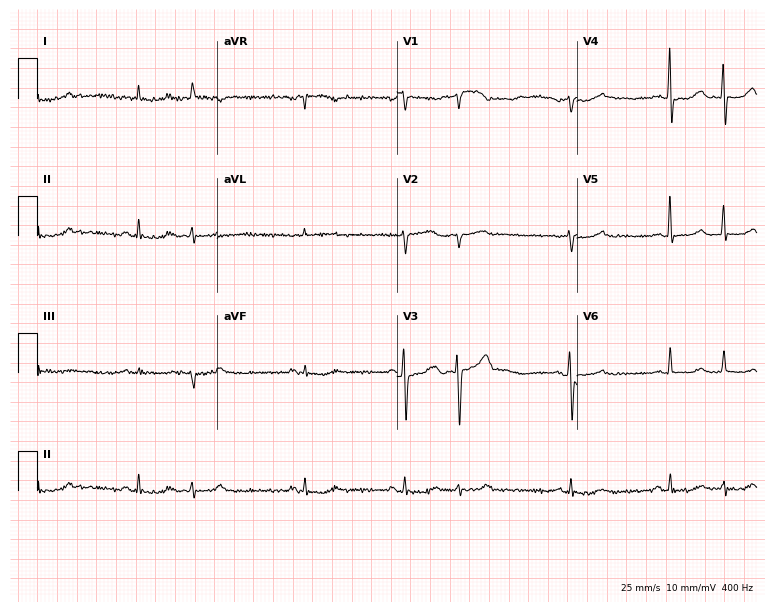
12-lead ECG (7.3-second recording at 400 Hz) from a 74-year-old male. Screened for six findings — first-degree AV block, right bundle branch block (RBBB), left bundle branch block (LBBB), sinus bradycardia, atrial fibrillation (AF), sinus tachycardia — none is recorded. Only these six findings were labelled.